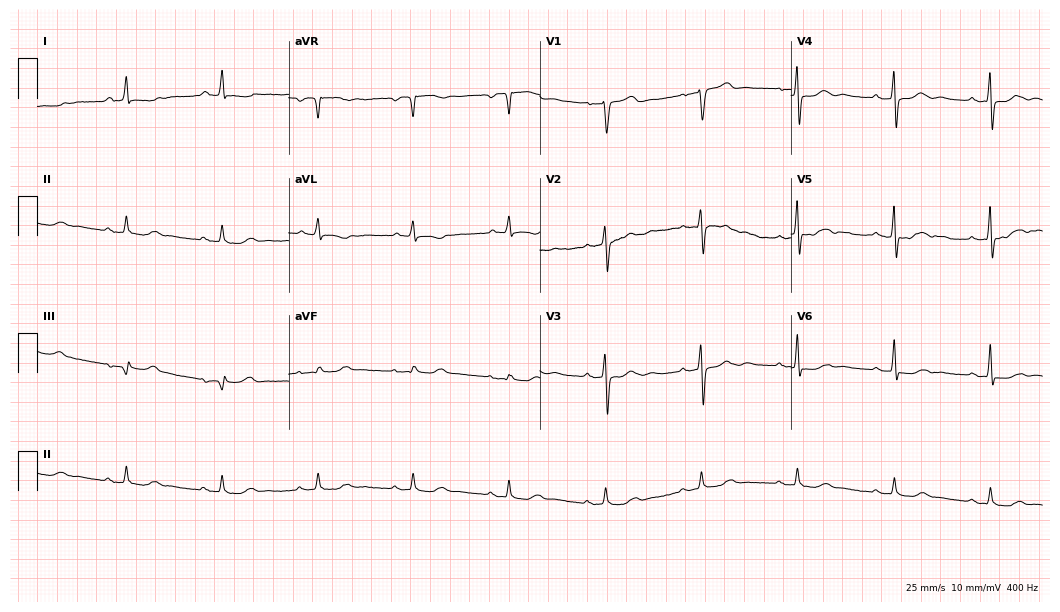
ECG — an 82-year-old man. Screened for six findings — first-degree AV block, right bundle branch block, left bundle branch block, sinus bradycardia, atrial fibrillation, sinus tachycardia — none is recorded. Only these six findings were labelled.